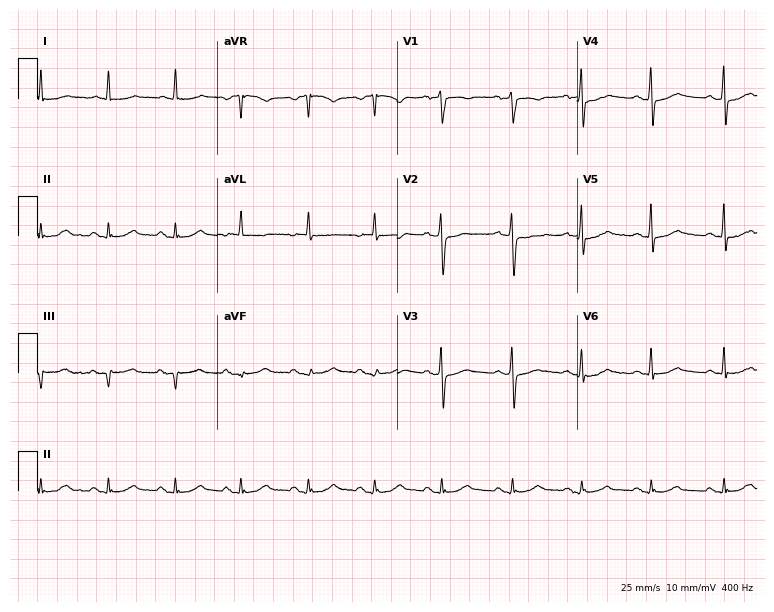
Standard 12-lead ECG recorded from a 70-year-old man (7.3-second recording at 400 Hz). Read as a normal ECG.